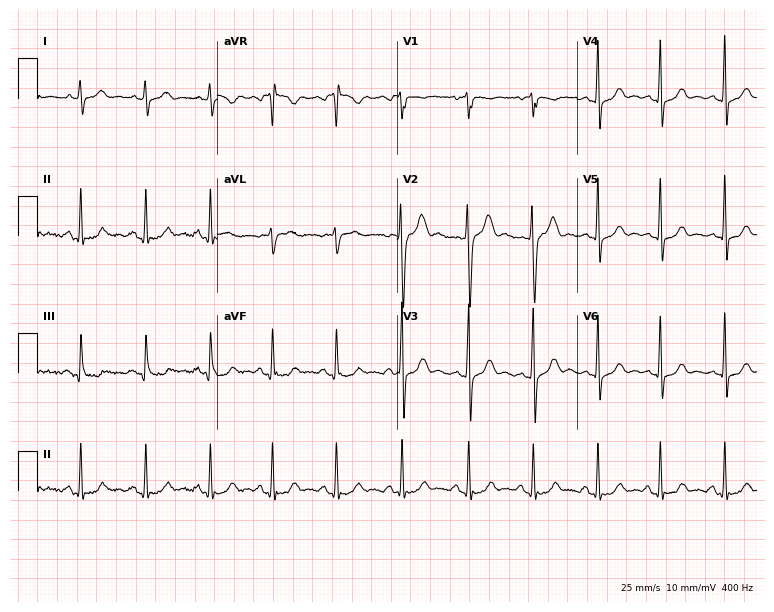
Electrocardiogram (7.3-second recording at 400 Hz), a man, 28 years old. Overall reading on record: normal ECG.